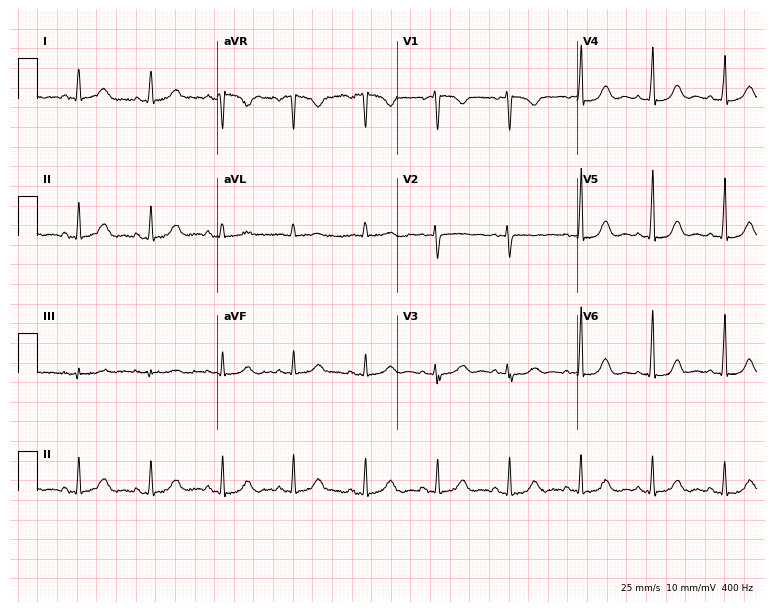
ECG — a female patient, 56 years old. Labelled as a normal ECG.